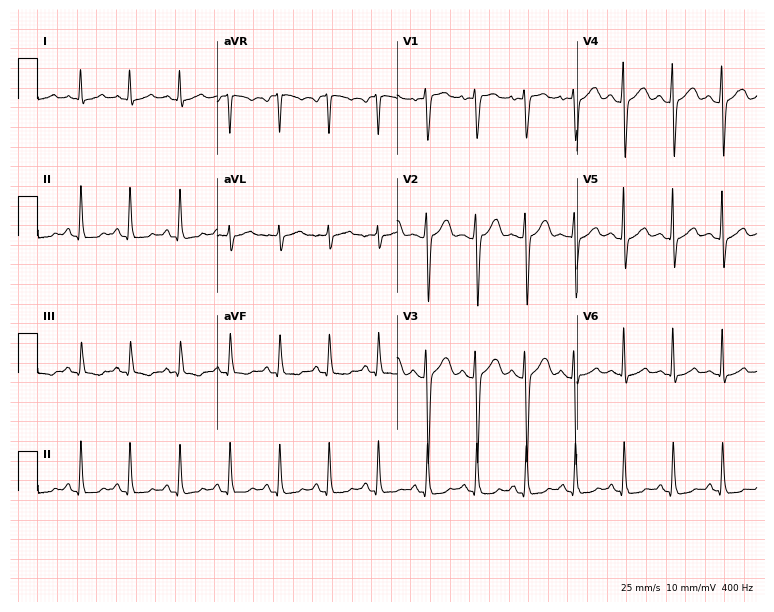
Resting 12-lead electrocardiogram (7.3-second recording at 400 Hz). Patient: a 42-year-old woman. The tracing shows sinus tachycardia (a sinus rate of 100 beats per minute or more).